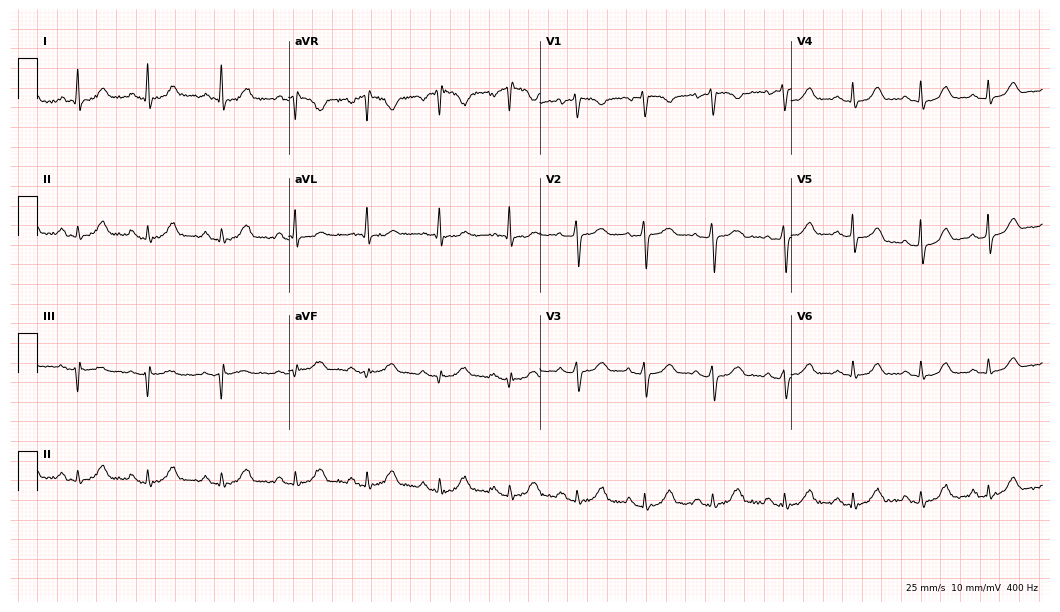
ECG — a female patient, 53 years old. Labelled as a normal ECG.